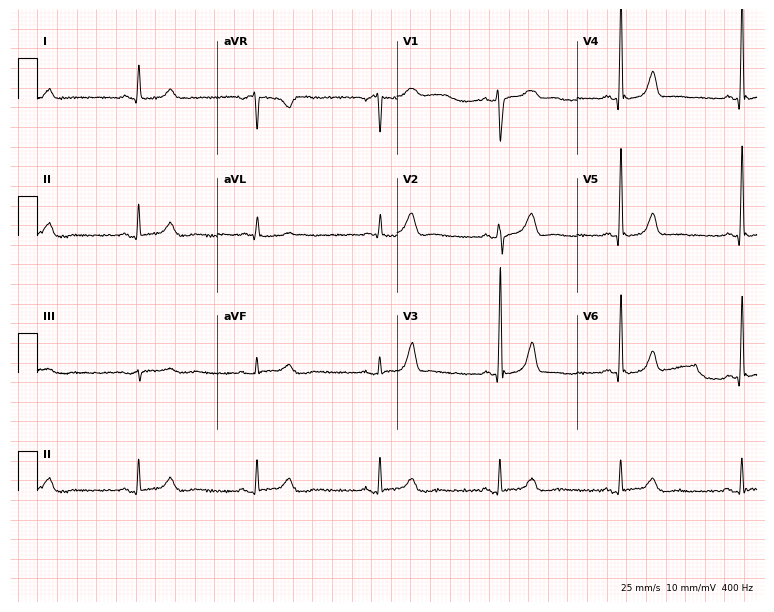
Electrocardiogram (7.3-second recording at 400 Hz), a woman, 59 years old. Of the six screened findings (first-degree AV block, right bundle branch block, left bundle branch block, sinus bradycardia, atrial fibrillation, sinus tachycardia), none is recorded. Findings outside these six are not listed.